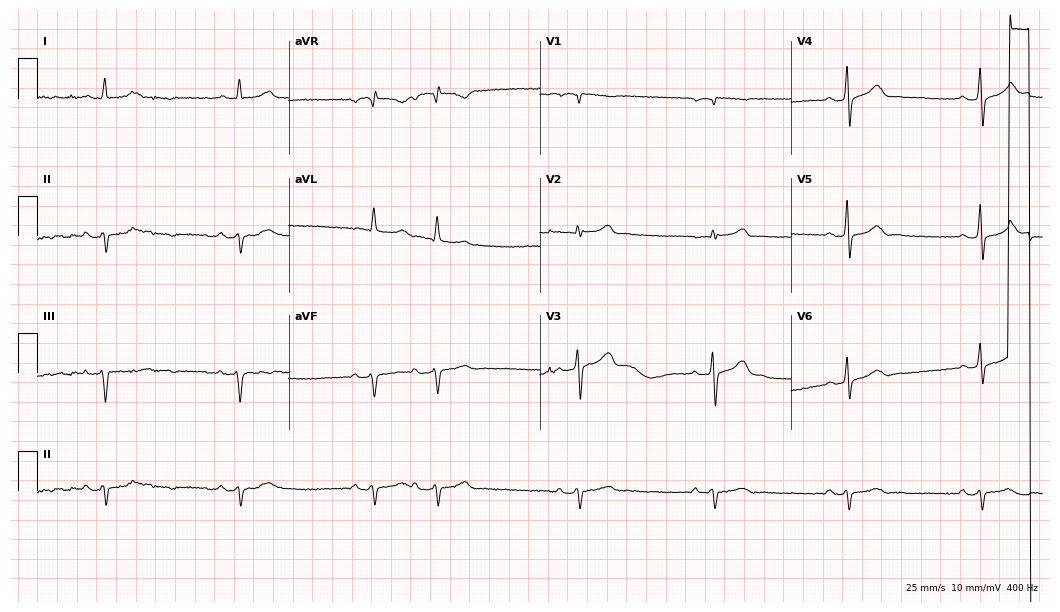
Electrocardiogram, a man, 61 years old. Of the six screened findings (first-degree AV block, right bundle branch block (RBBB), left bundle branch block (LBBB), sinus bradycardia, atrial fibrillation (AF), sinus tachycardia), none is recorded.